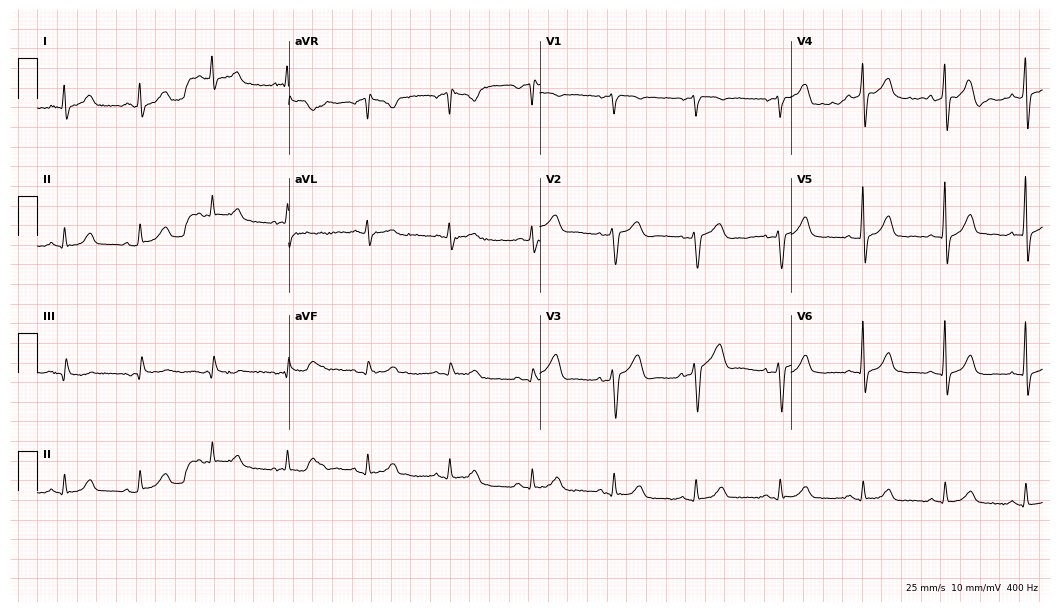
Standard 12-lead ECG recorded from a 62-year-old male patient (10.2-second recording at 400 Hz). Read as a normal ECG.